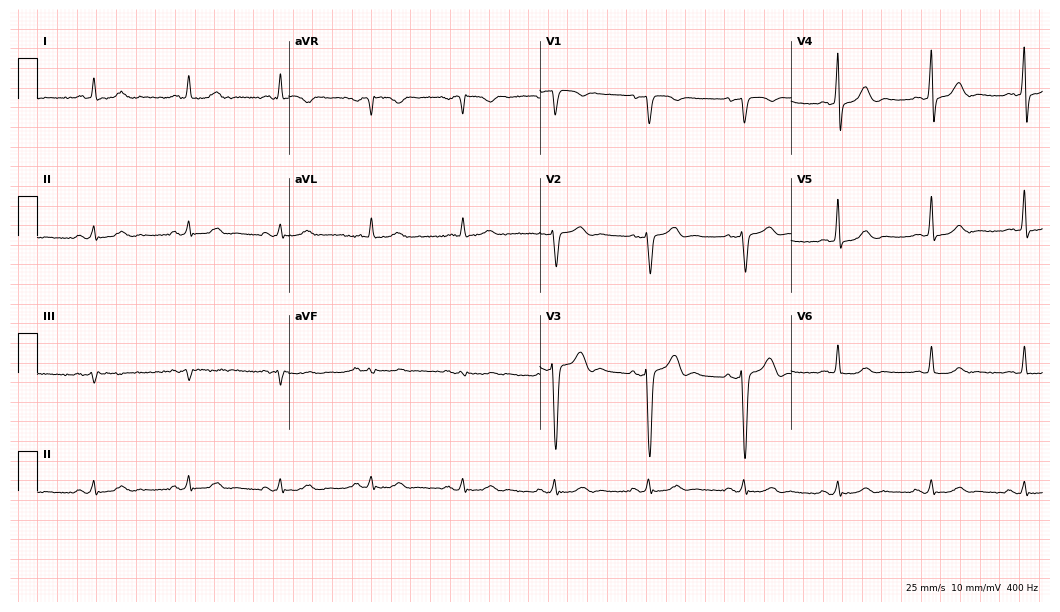
Resting 12-lead electrocardiogram. Patient: a 66-year-old male. Read as a normal ECG.